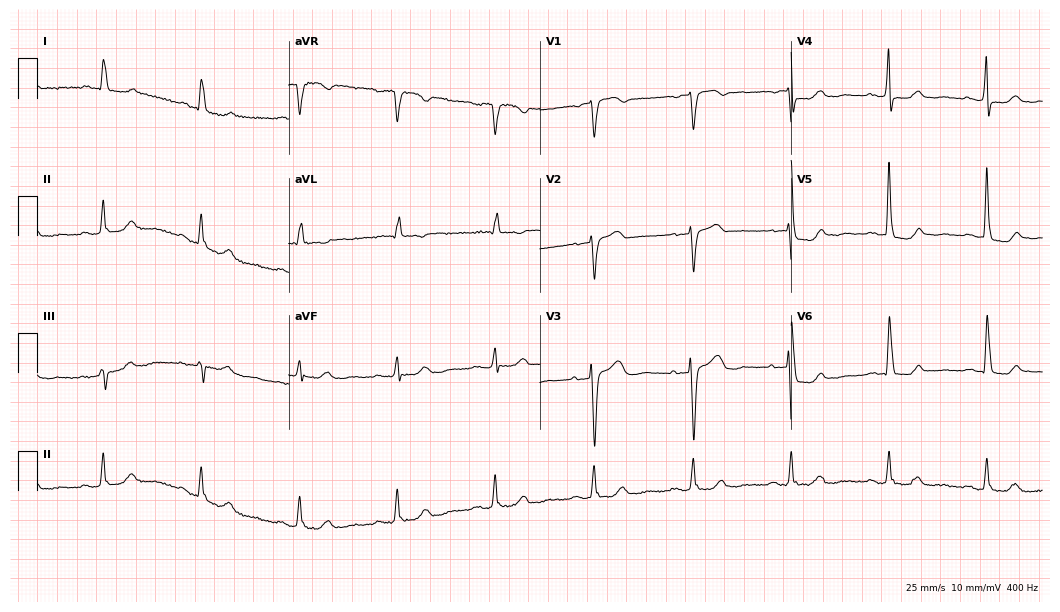
12-lead ECG (10.2-second recording at 400 Hz) from a female, 79 years old. Screened for six findings — first-degree AV block, right bundle branch block (RBBB), left bundle branch block (LBBB), sinus bradycardia, atrial fibrillation (AF), sinus tachycardia — none is recorded.